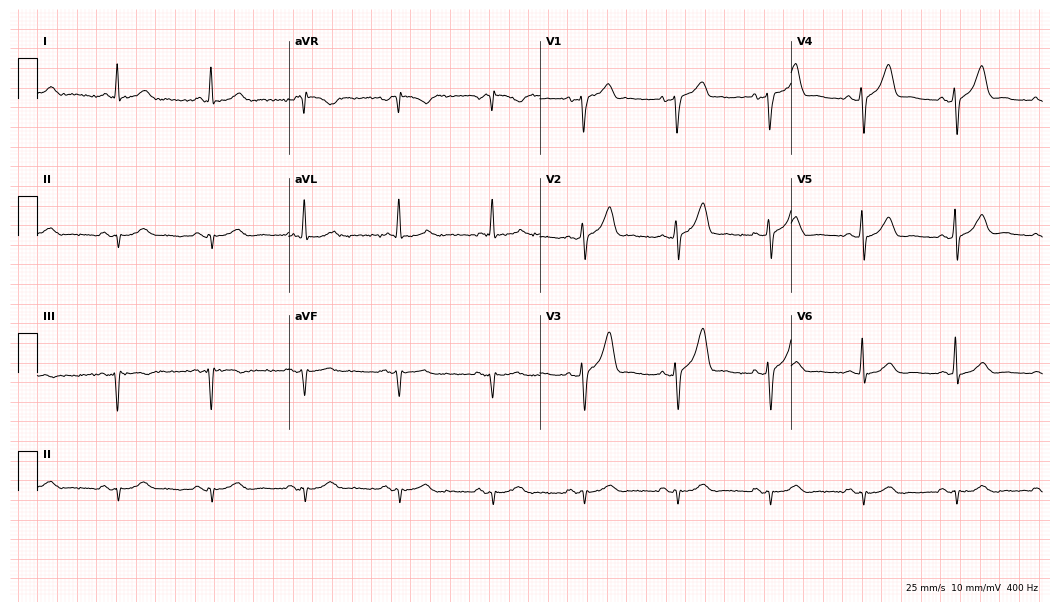
Resting 12-lead electrocardiogram. Patient: a 69-year-old male. None of these six findings is recorded: first-degree AV block, right bundle branch block, left bundle branch block, sinus bradycardia, atrial fibrillation, sinus tachycardia.